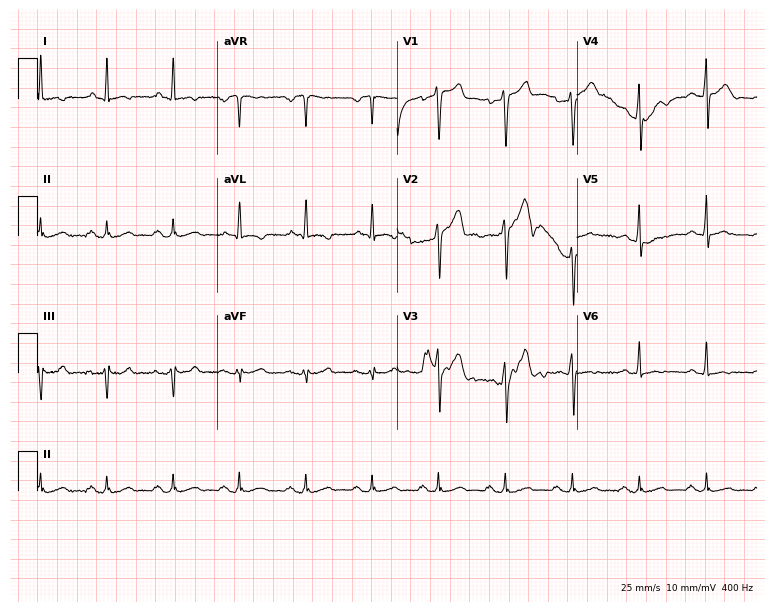
Standard 12-lead ECG recorded from a 51-year-old man (7.3-second recording at 400 Hz). None of these six findings is recorded: first-degree AV block, right bundle branch block, left bundle branch block, sinus bradycardia, atrial fibrillation, sinus tachycardia.